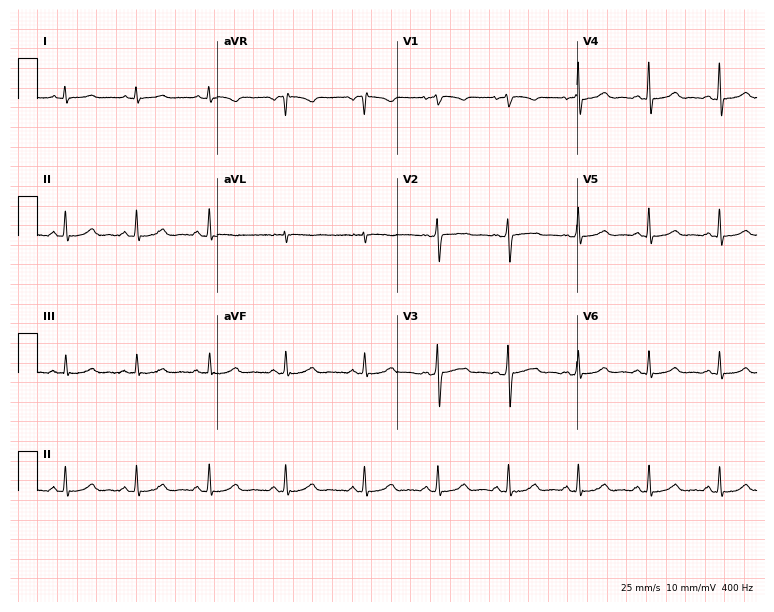
Resting 12-lead electrocardiogram. Patient: a female, 31 years old. None of these six findings is recorded: first-degree AV block, right bundle branch block, left bundle branch block, sinus bradycardia, atrial fibrillation, sinus tachycardia.